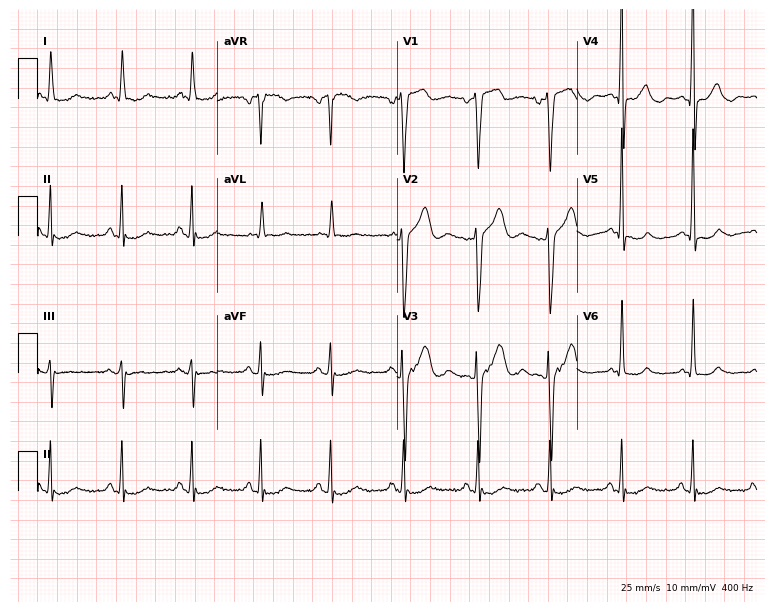
12-lead ECG from a man, 73 years old. Recorded interpretation: within normal limits.